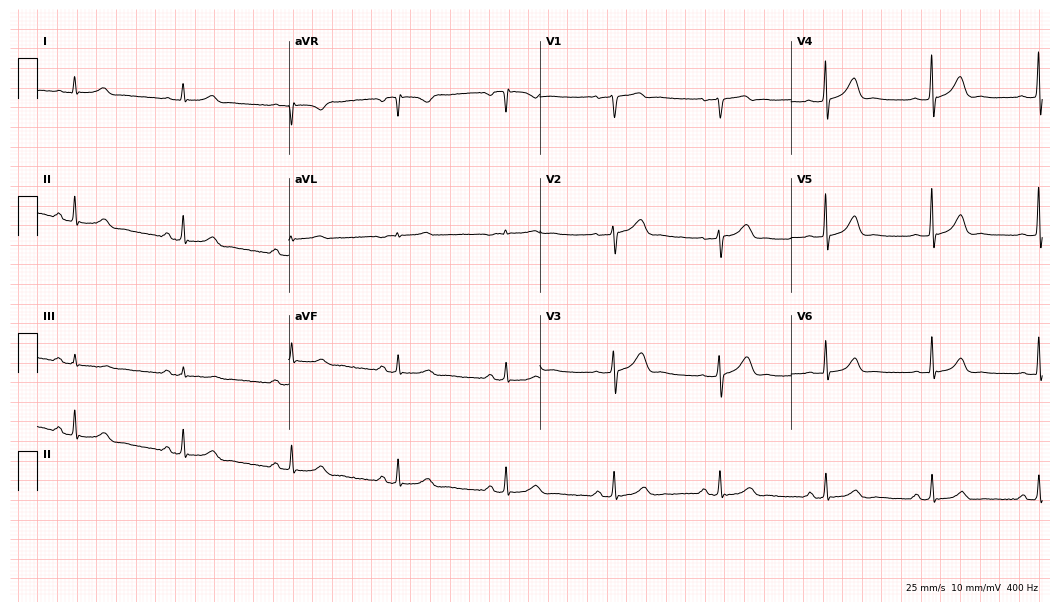
12-lead ECG from a male, 61 years old. Recorded interpretation: within normal limits.